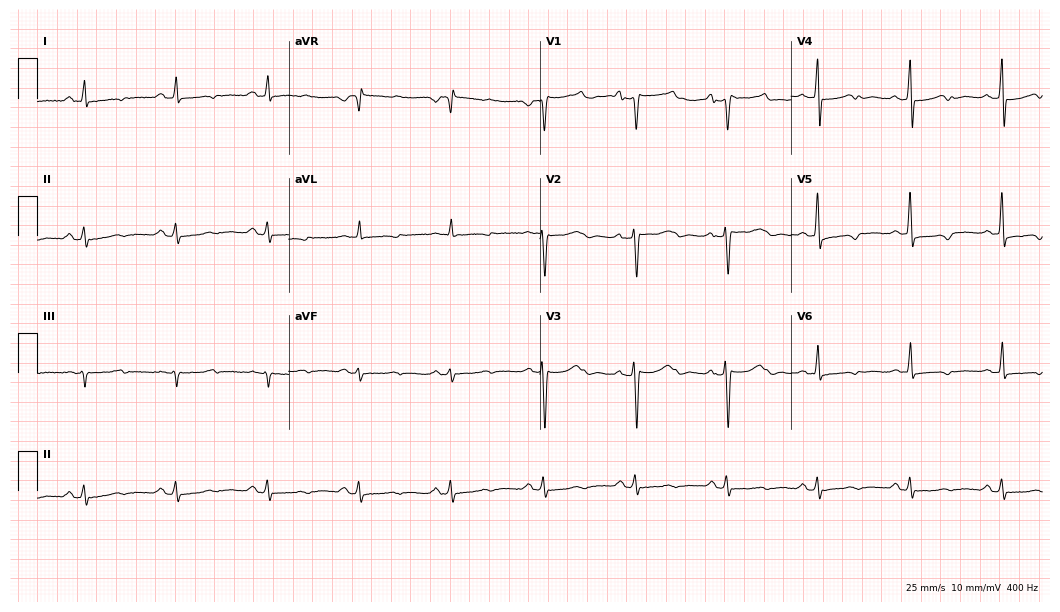
12-lead ECG from a female, 22 years old (10.2-second recording at 400 Hz). No first-degree AV block, right bundle branch block (RBBB), left bundle branch block (LBBB), sinus bradycardia, atrial fibrillation (AF) or sinus tachycardia recorded for this tracing. Findings outside these six are not listed.